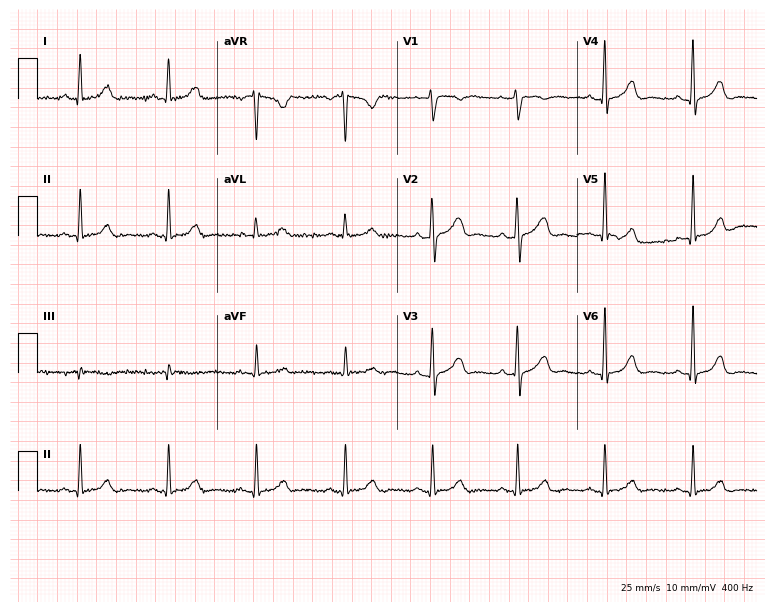
12-lead ECG from a female, 51 years old (7.3-second recording at 400 Hz). Recorded interpretation: within normal limits.